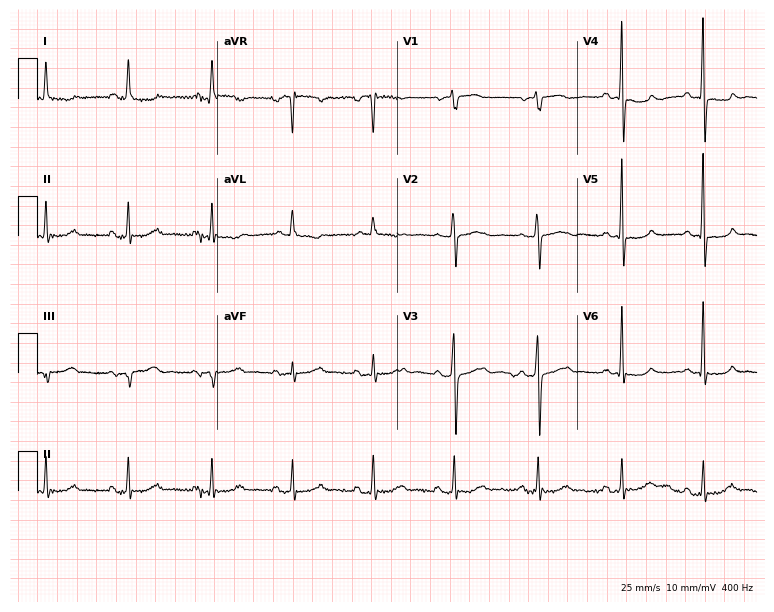
Electrocardiogram (7.3-second recording at 400 Hz), a 72-year-old female. Of the six screened findings (first-degree AV block, right bundle branch block, left bundle branch block, sinus bradycardia, atrial fibrillation, sinus tachycardia), none is recorded. Only these six findings were labelled.